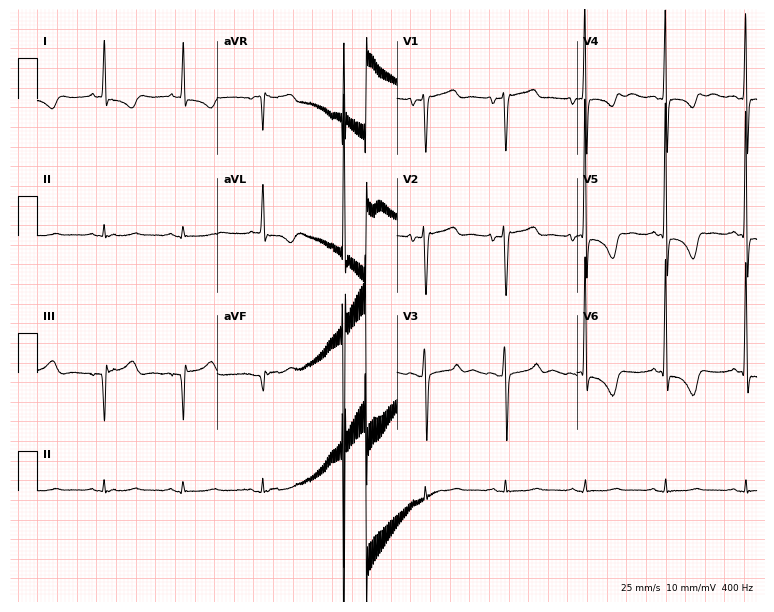
12-lead ECG from a female, 75 years old. Screened for six findings — first-degree AV block, right bundle branch block, left bundle branch block, sinus bradycardia, atrial fibrillation, sinus tachycardia — none is recorded.